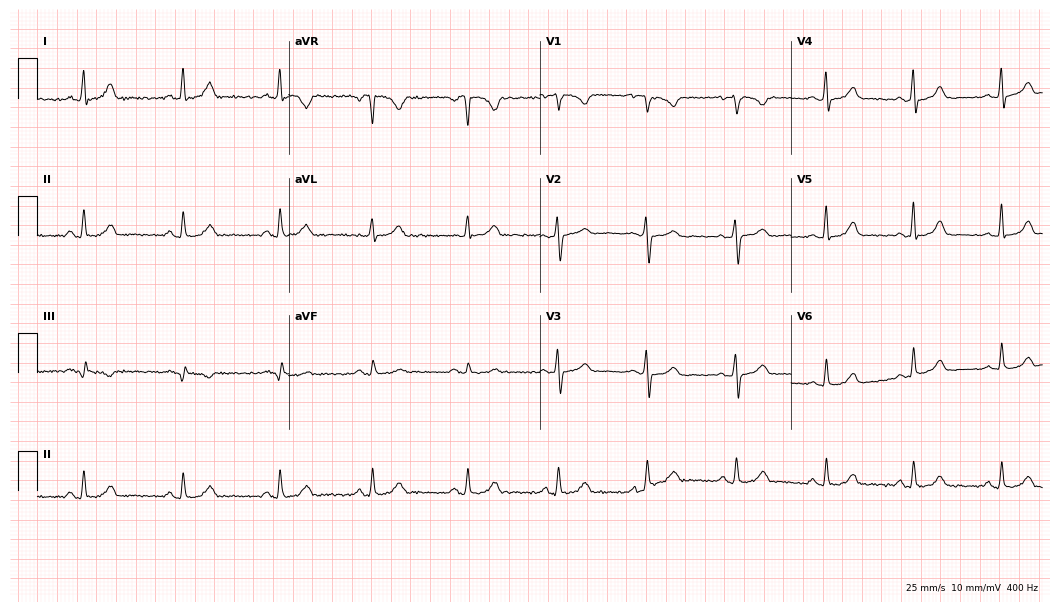
Electrocardiogram, a woman, 40 years old. Overall reading on record: normal ECG.